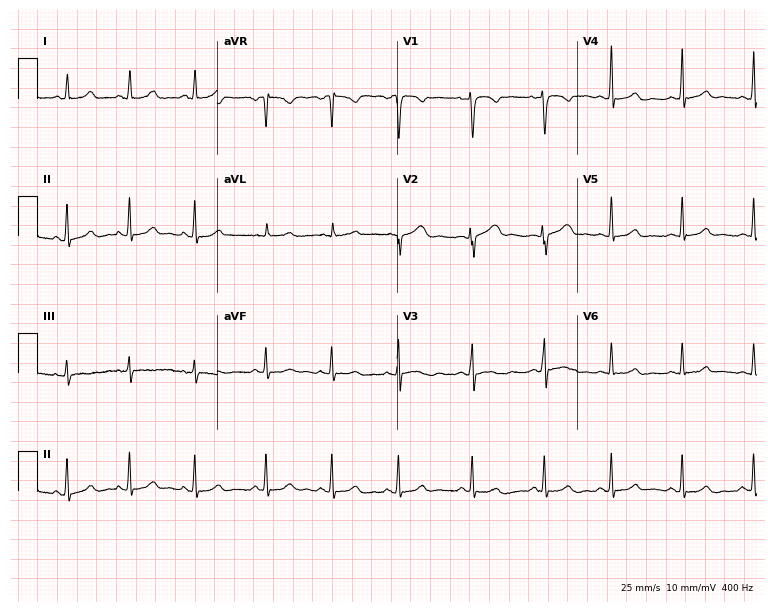
12-lead ECG (7.3-second recording at 400 Hz) from a woman, 19 years old. Labelled as a normal ECG.